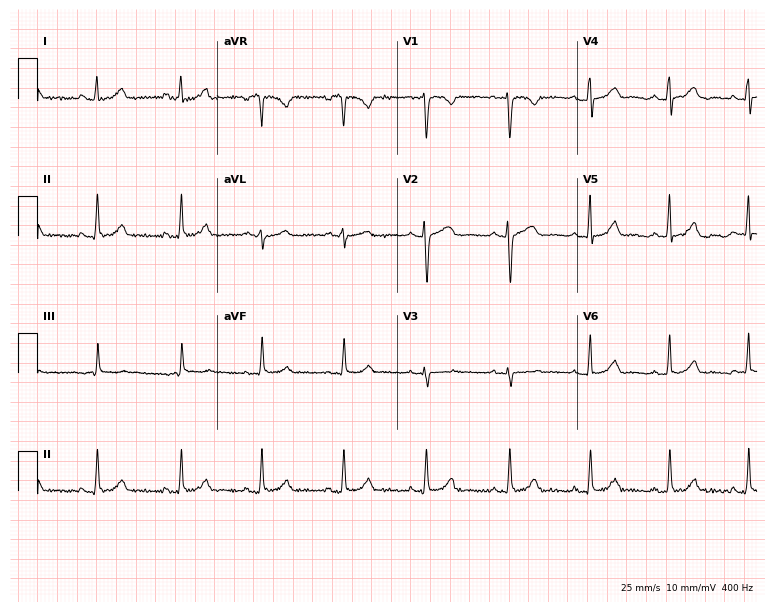
12-lead ECG from a female, 39 years old. Labelled as a normal ECG.